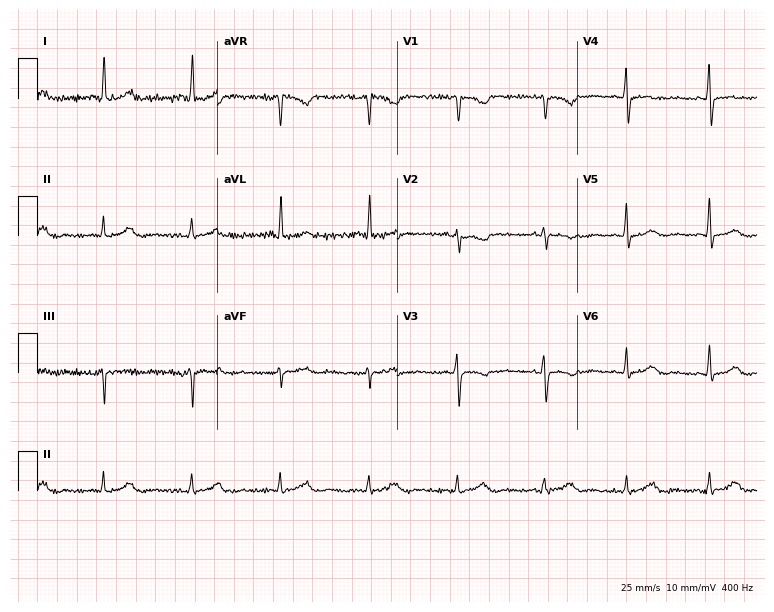
ECG (7.3-second recording at 400 Hz) — a 53-year-old female. Screened for six findings — first-degree AV block, right bundle branch block, left bundle branch block, sinus bradycardia, atrial fibrillation, sinus tachycardia — none is recorded. Other findings, if any, are not listed.